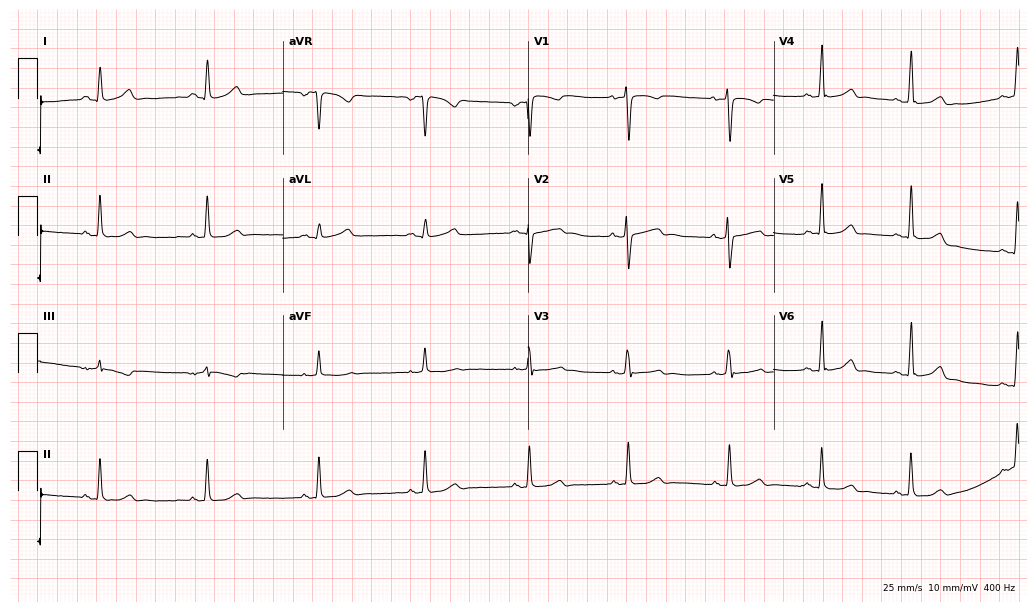
12-lead ECG from a 24-year-old female patient (10-second recording at 400 Hz). Recorded interpretation: within normal limits.